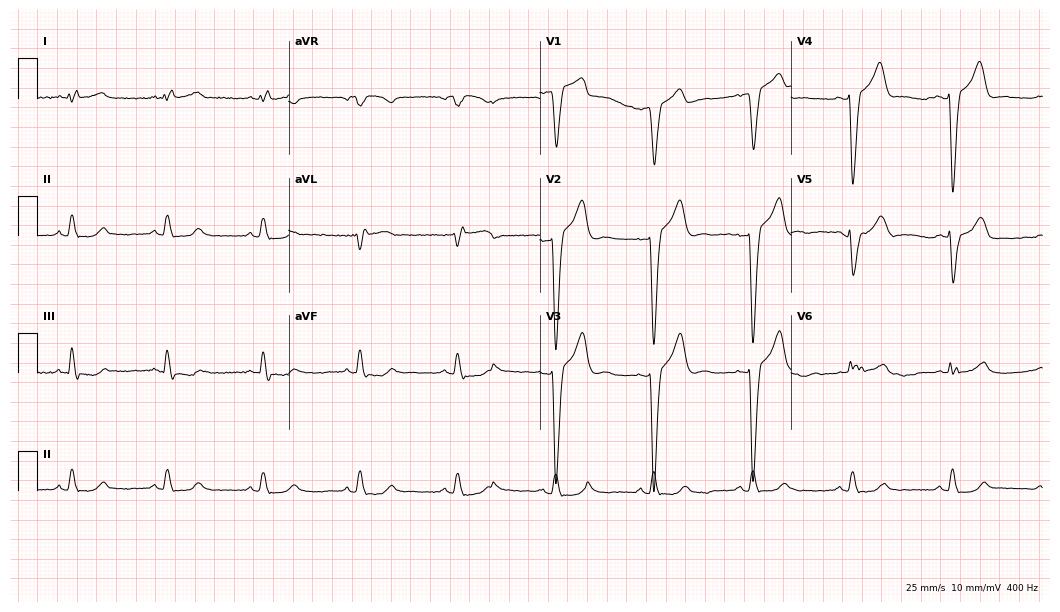
12-lead ECG from a 62-year-old man. Shows left bundle branch block.